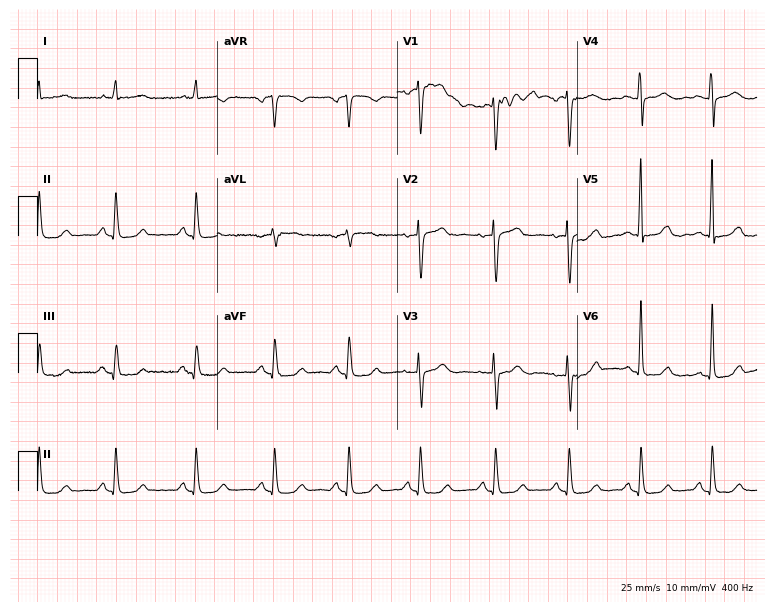
ECG (7.3-second recording at 400 Hz) — a female, 51 years old. Screened for six findings — first-degree AV block, right bundle branch block, left bundle branch block, sinus bradycardia, atrial fibrillation, sinus tachycardia — none is recorded.